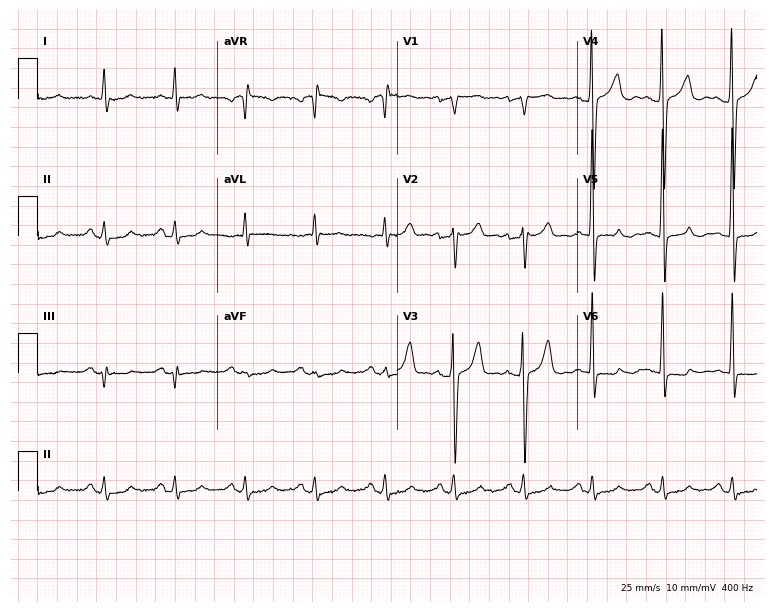
12-lead ECG (7.3-second recording at 400 Hz) from a 62-year-old male. Screened for six findings — first-degree AV block, right bundle branch block, left bundle branch block, sinus bradycardia, atrial fibrillation, sinus tachycardia — none is recorded.